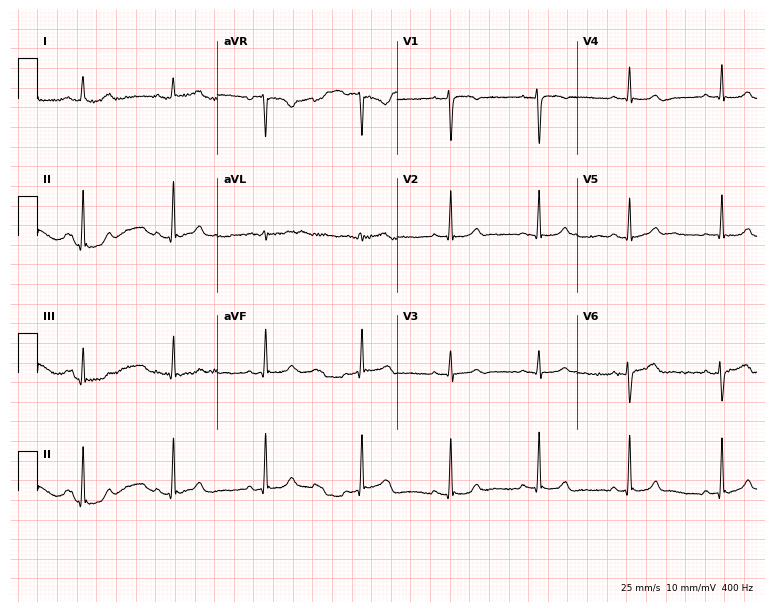
Electrocardiogram, a 35-year-old woman. Overall reading on record: normal ECG.